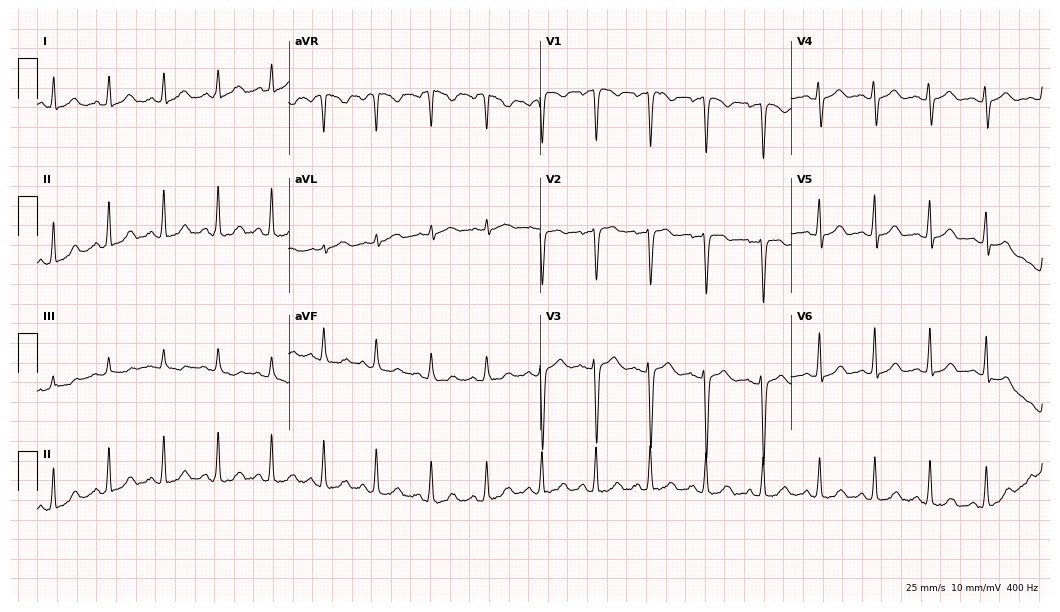
ECG (10.2-second recording at 400 Hz) — a woman, 25 years old. Findings include sinus tachycardia (a sinus rate of 100 beats per minute or more).